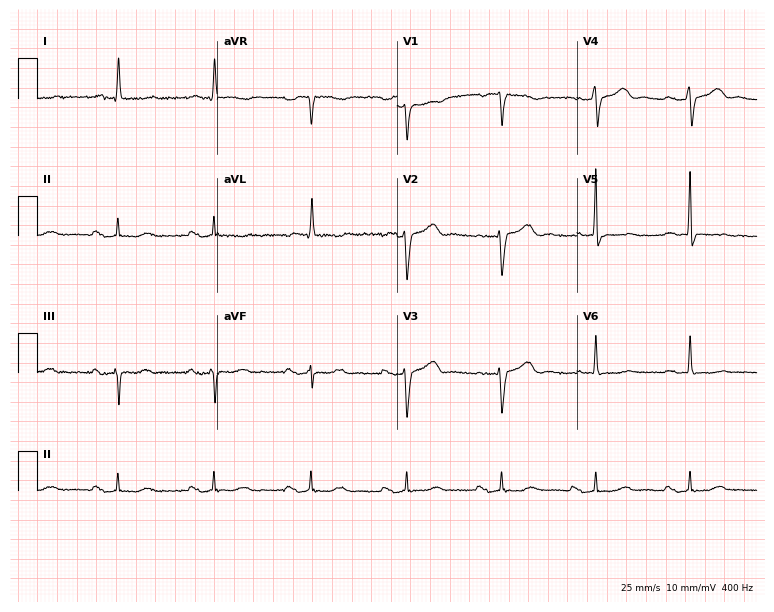
Resting 12-lead electrocardiogram. Patient: a female, 72 years old. The tracing shows first-degree AV block.